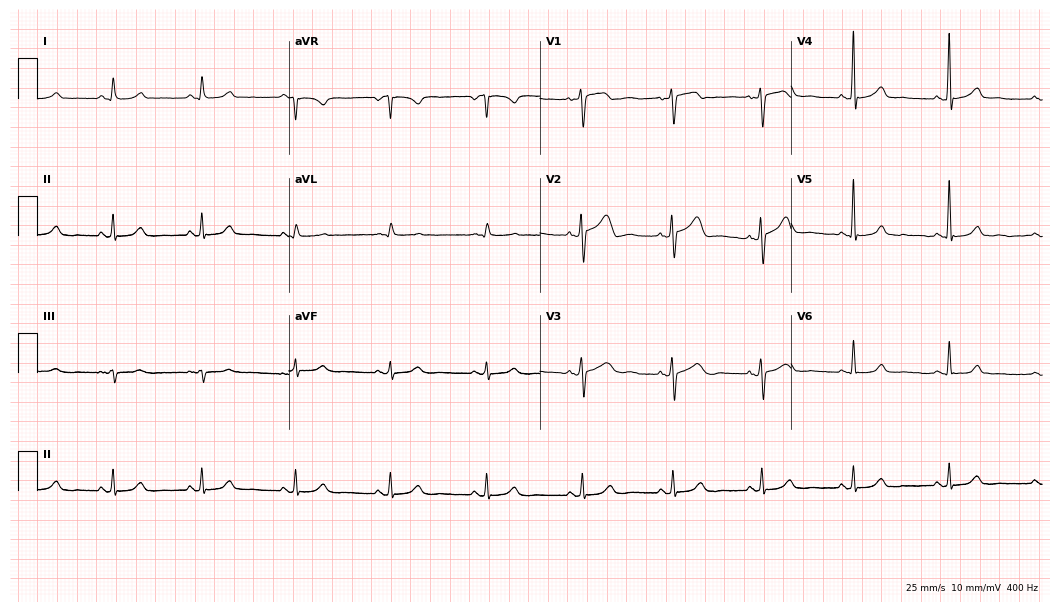
Standard 12-lead ECG recorded from a 46-year-old woman. Read as a normal ECG.